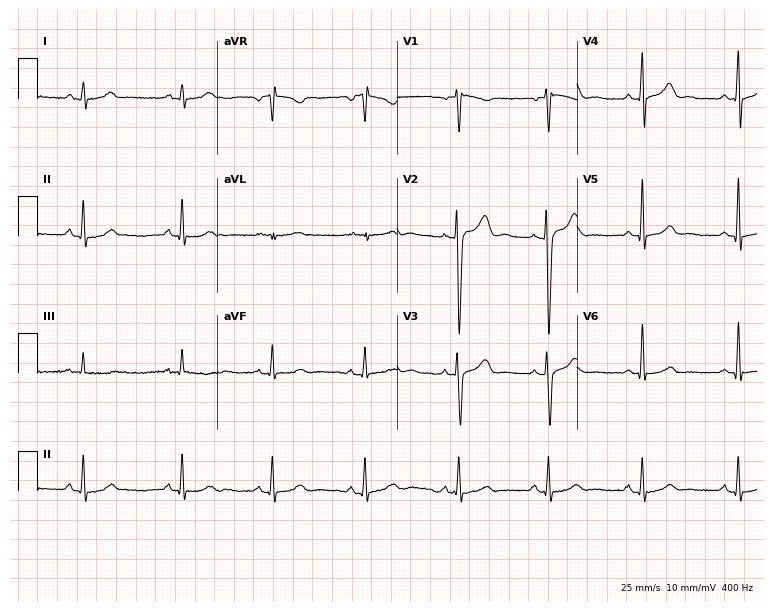
12-lead ECG from a male, 35 years old. Screened for six findings — first-degree AV block, right bundle branch block (RBBB), left bundle branch block (LBBB), sinus bradycardia, atrial fibrillation (AF), sinus tachycardia — none is recorded. Only these six findings were labelled.